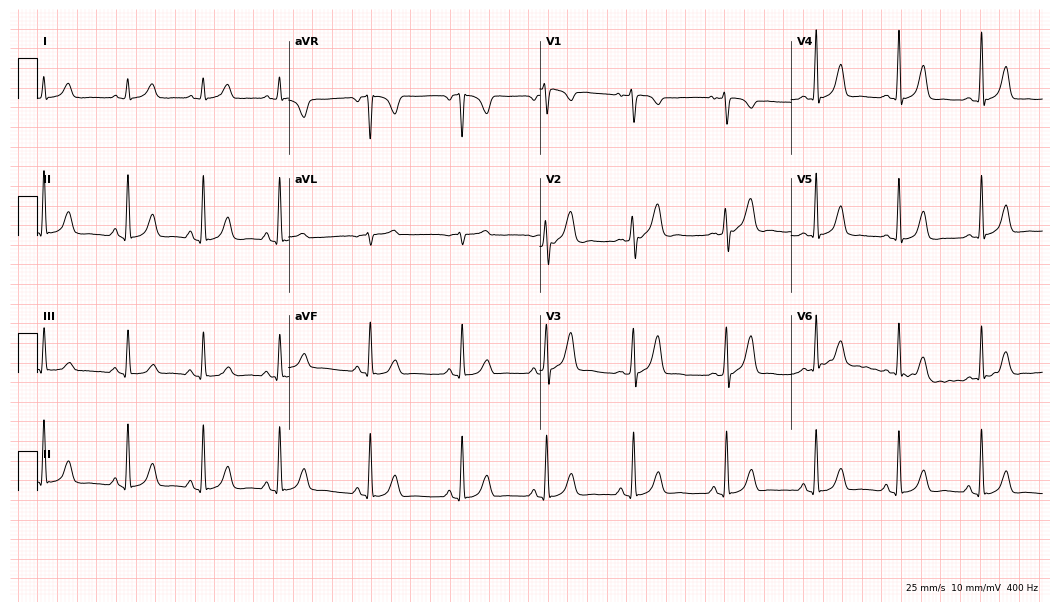
Resting 12-lead electrocardiogram. Patient: a 26-year-old woman. Read as a normal ECG.